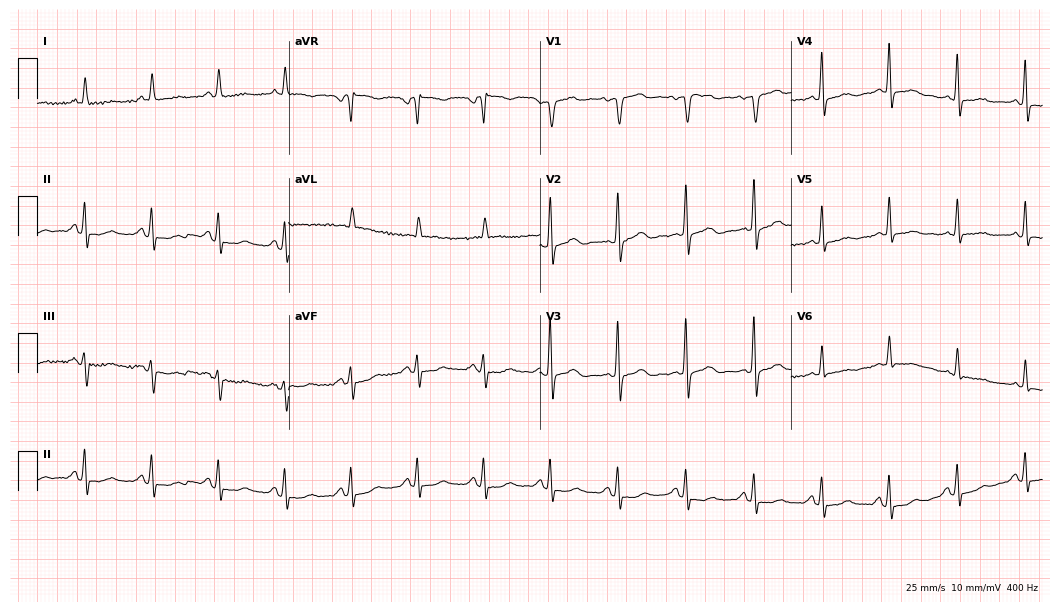
ECG (10.2-second recording at 400 Hz) — a 78-year-old female patient. Screened for six findings — first-degree AV block, right bundle branch block, left bundle branch block, sinus bradycardia, atrial fibrillation, sinus tachycardia — none is recorded.